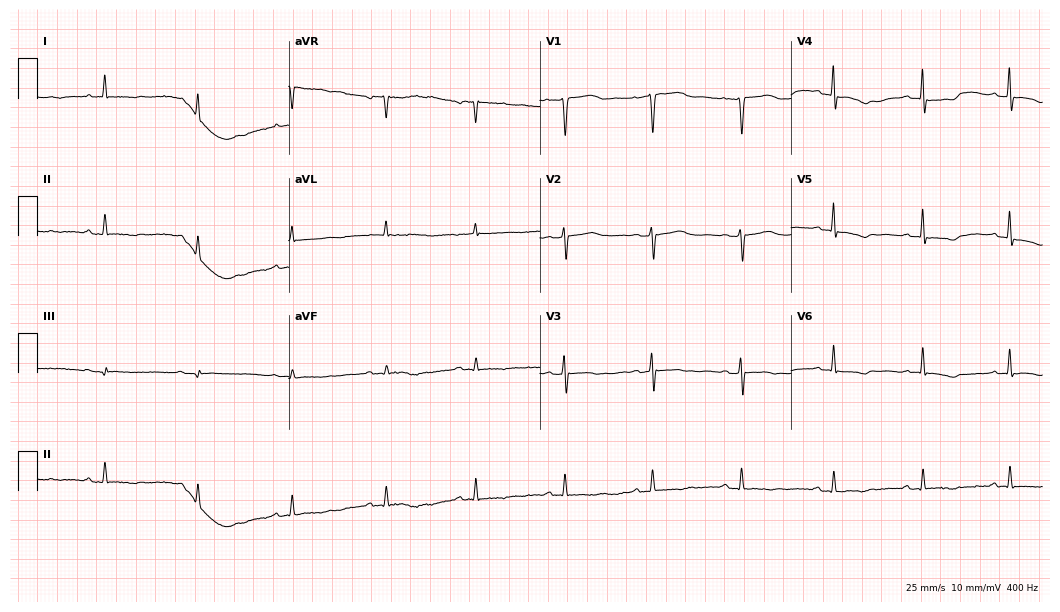
Standard 12-lead ECG recorded from a 58-year-old female. None of these six findings is recorded: first-degree AV block, right bundle branch block, left bundle branch block, sinus bradycardia, atrial fibrillation, sinus tachycardia.